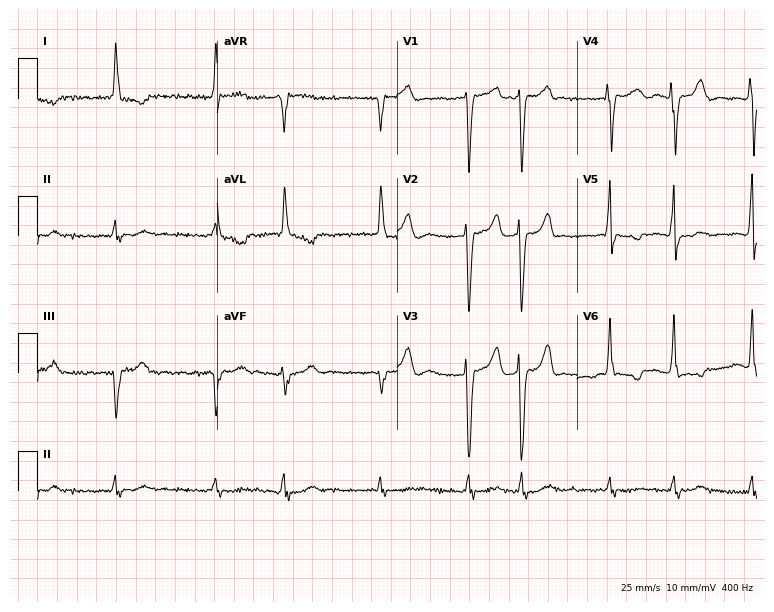
Resting 12-lead electrocardiogram (7.3-second recording at 400 Hz). Patient: a 79-year-old female. The tracing shows atrial fibrillation.